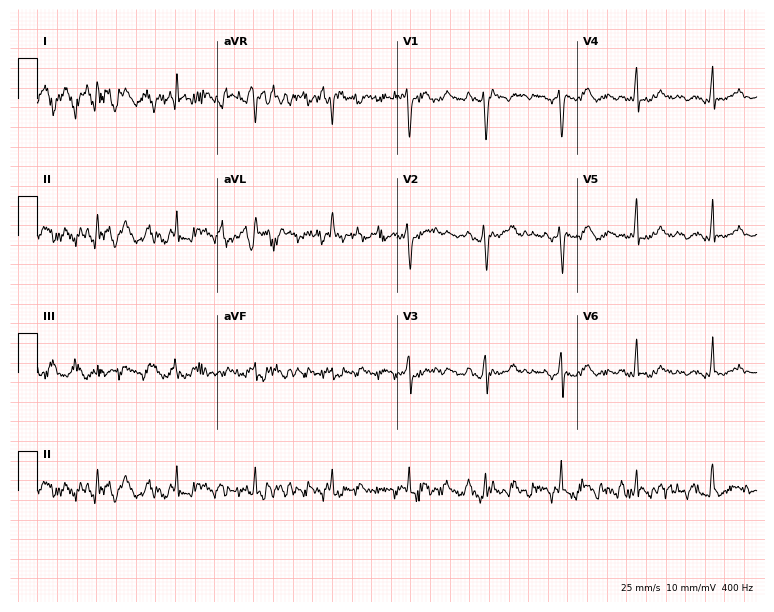
ECG — a 62-year-old female patient. Screened for six findings — first-degree AV block, right bundle branch block, left bundle branch block, sinus bradycardia, atrial fibrillation, sinus tachycardia — none is recorded.